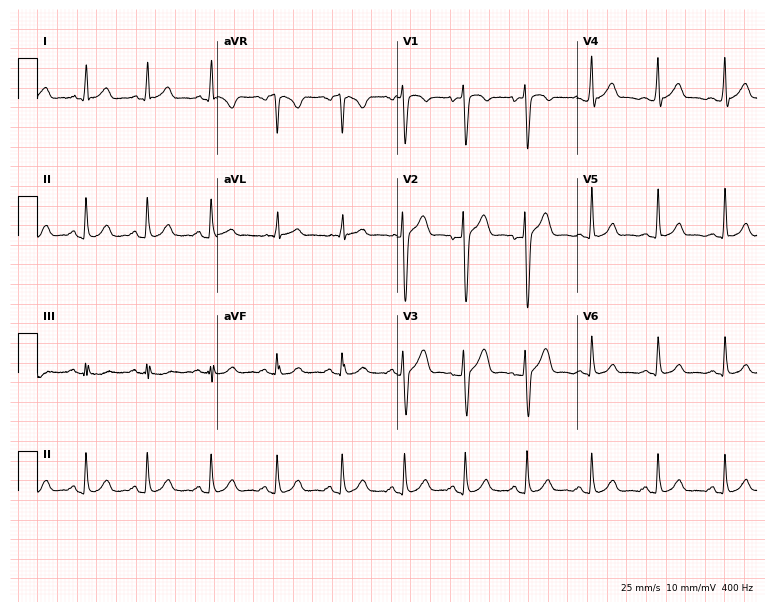
ECG — a 19-year-old male. Labelled as a normal ECG.